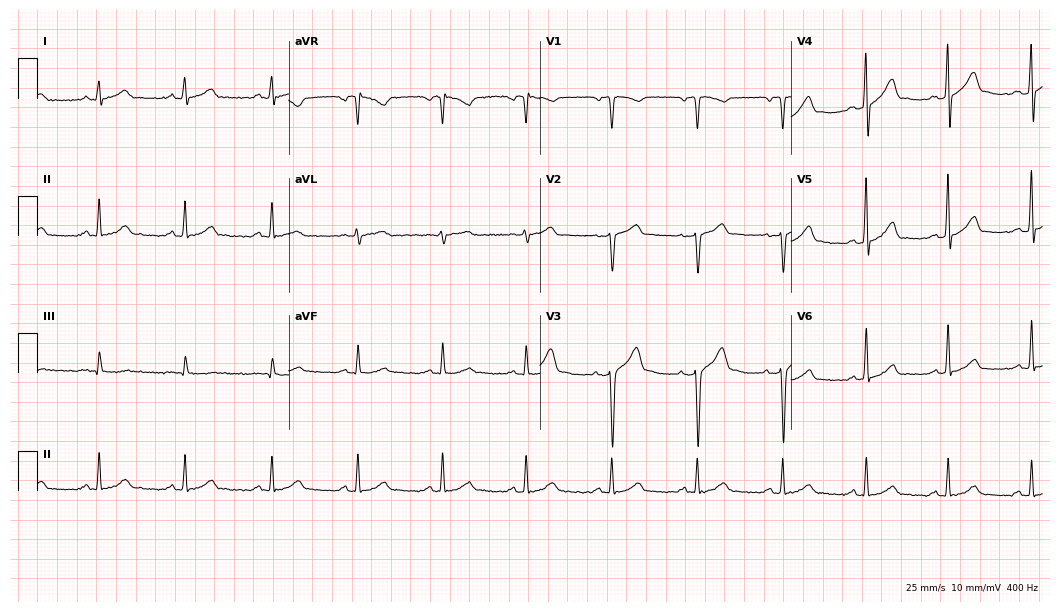
Standard 12-lead ECG recorded from a male patient, 44 years old (10.2-second recording at 400 Hz). Read as a normal ECG.